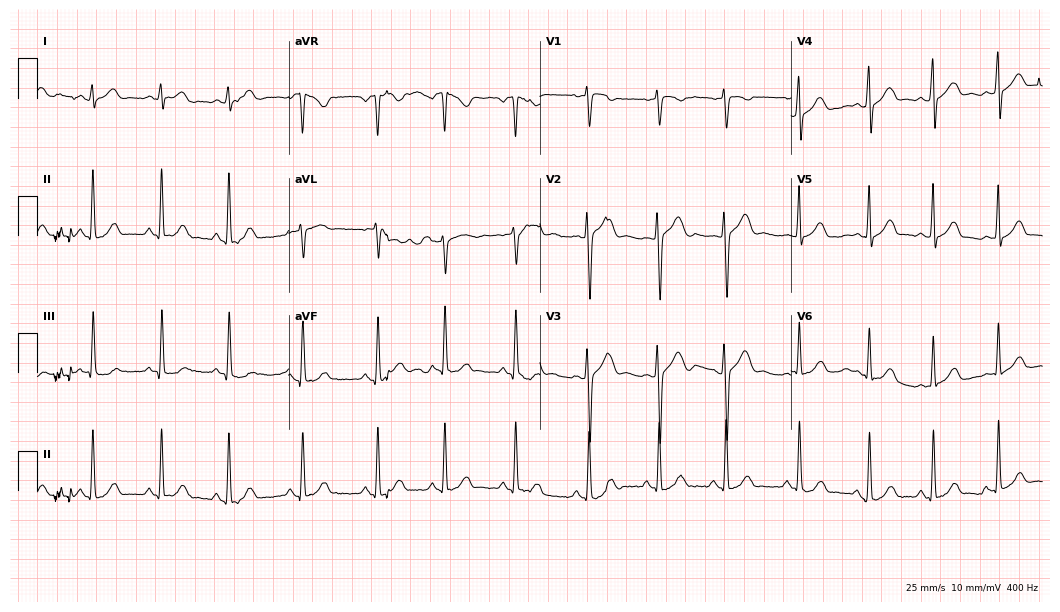
Electrocardiogram, a 21-year-old female patient. Overall reading on record: normal ECG.